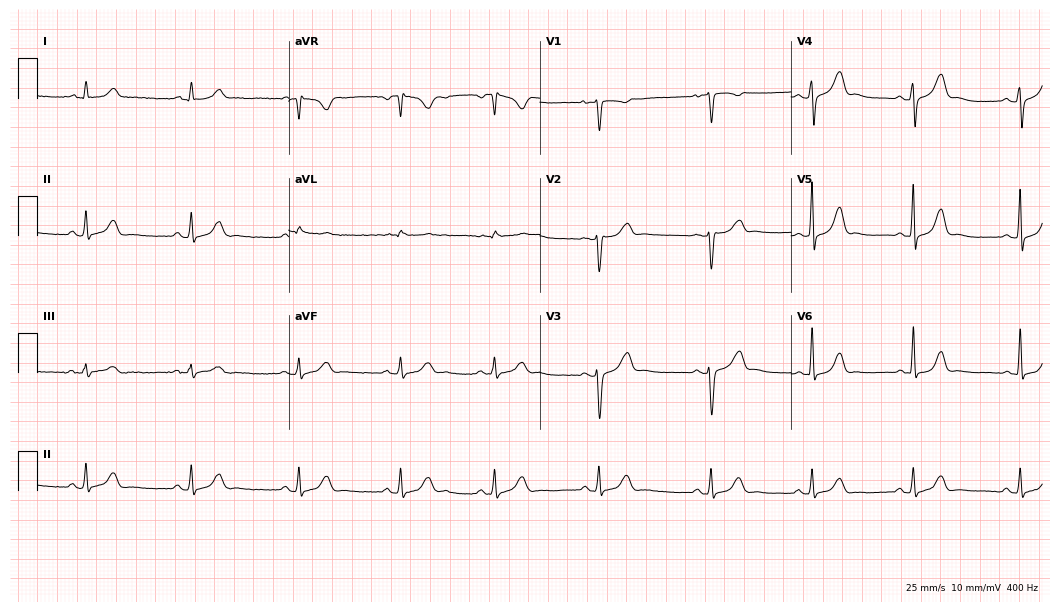
Resting 12-lead electrocardiogram. Patient: a female, 25 years old. Read as a normal ECG.